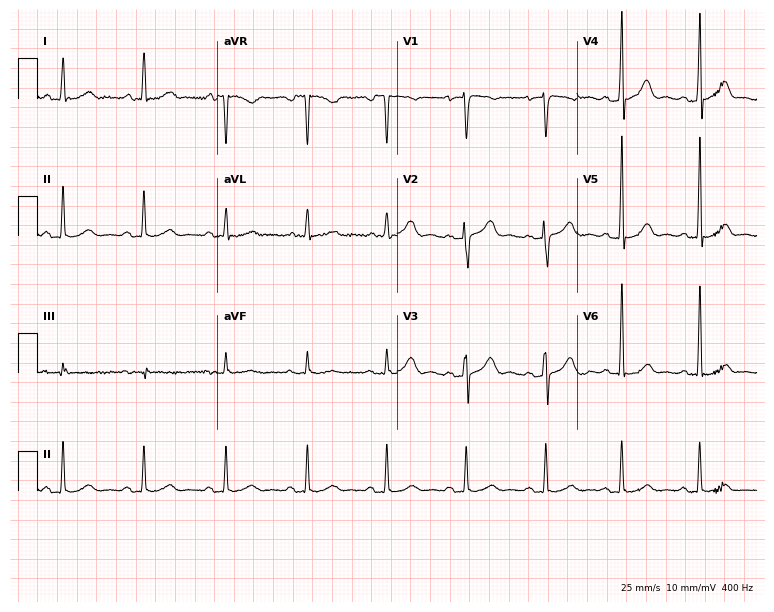
Resting 12-lead electrocardiogram. Patient: a woman, 40 years old. Read as a normal ECG.